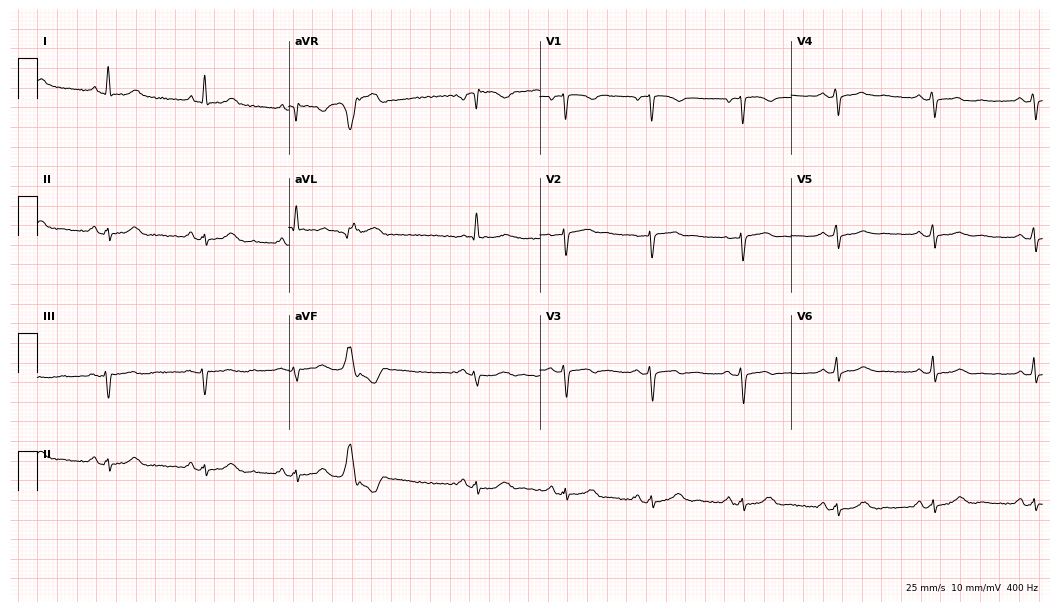
Resting 12-lead electrocardiogram. Patient: a 58-year-old female. None of these six findings is recorded: first-degree AV block, right bundle branch block (RBBB), left bundle branch block (LBBB), sinus bradycardia, atrial fibrillation (AF), sinus tachycardia.